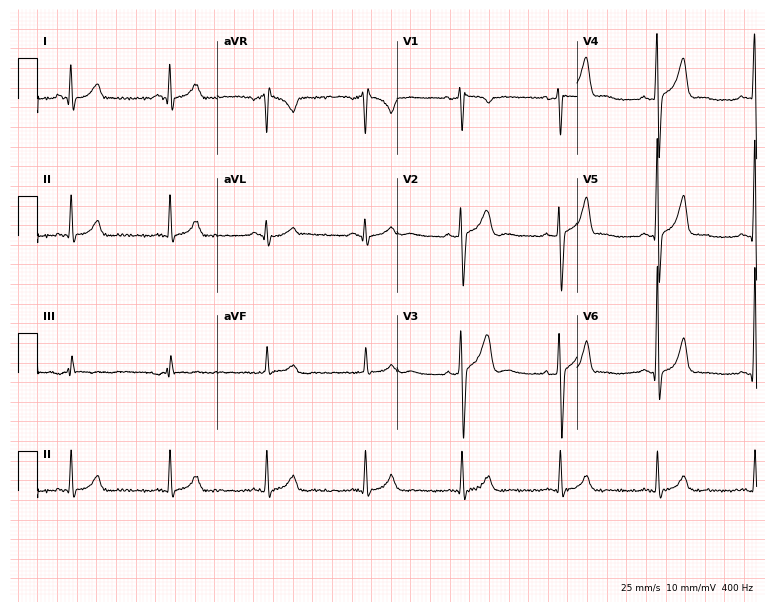
12-lead ECG from a 52-year-old male (7.3-second recording at 400 Hz). Recorded interpretation: within normal limits.